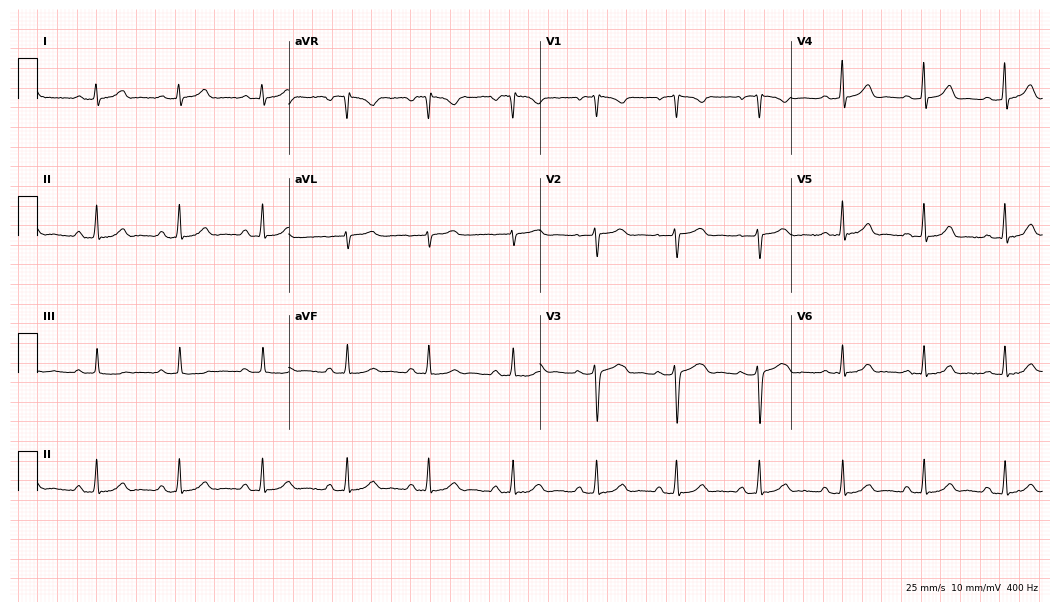
ECG — a 26-year-old female. Labelled as a normal ECG.